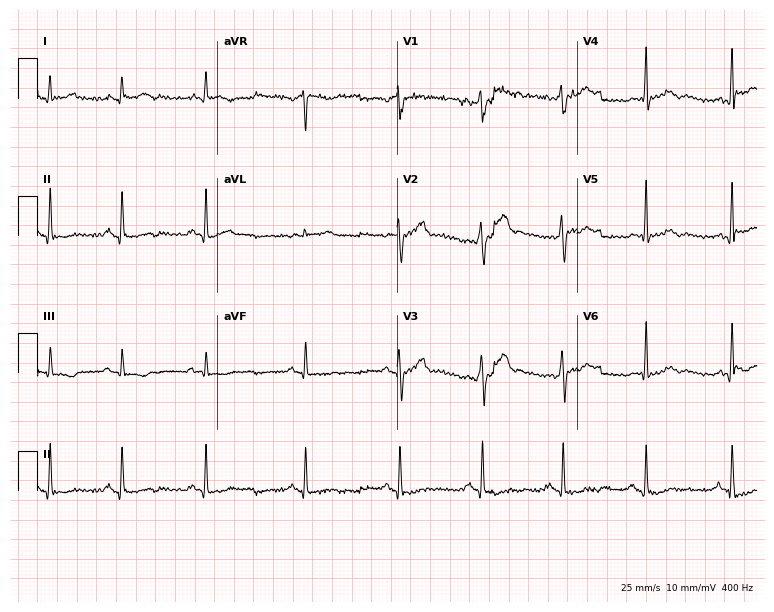
12-lead ECG from a 26-year-old man. No first-degree AV block, right bundle branch block (RBBB), left bundle branch block (LBBB), sinus bradycardia, atrial fibrillation (AF) or sinus tachycardia recorded for this tracing.